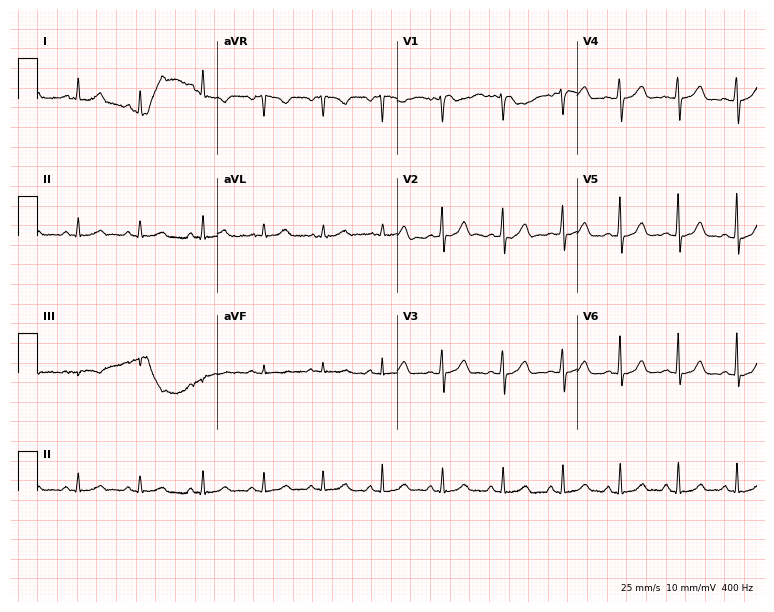
Standard 12-lead ECG recorded from a 36-year-old female patient (7.3-second recording at 400 Hz). None of these six findings is recorded: first-degree AV block, right bundle branch block, left bundle branch block, sinus bradycardia, atrial fibrillation, sinus tachycardia. Only these six findings were labelled.